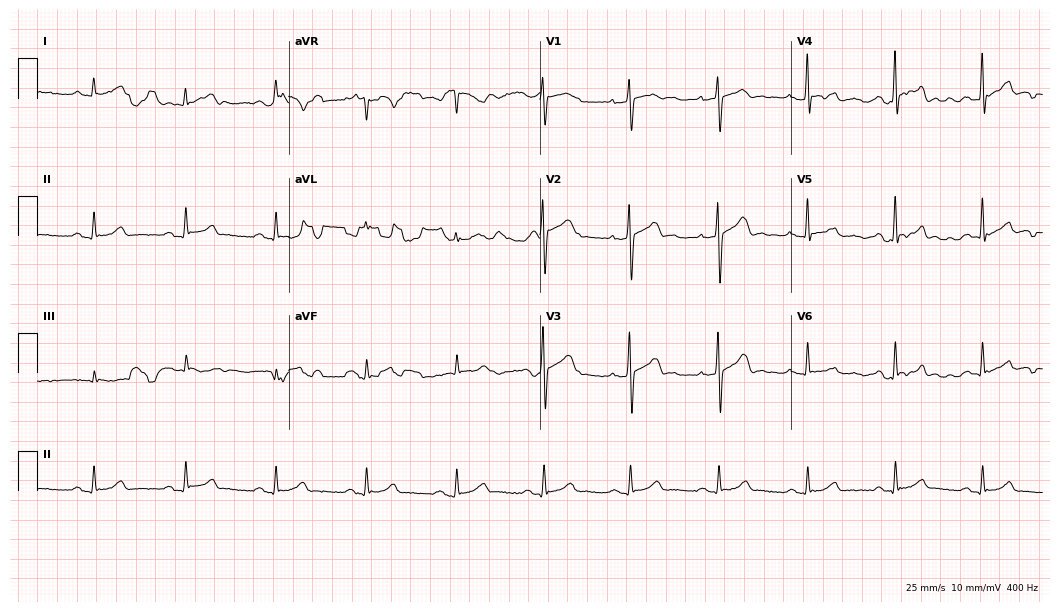
Standard 12-lead ECG recorded from a 51-year-old man (10.2-second recording at 400 Hz). Read as a normal ECG.